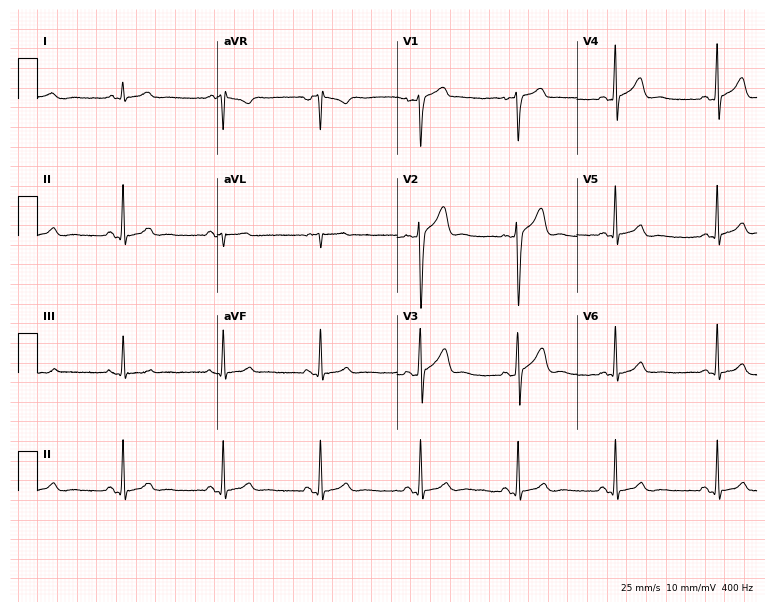
Standard 12-lead ECG recorded from a man, 37 years old. Read as a normal ECG.